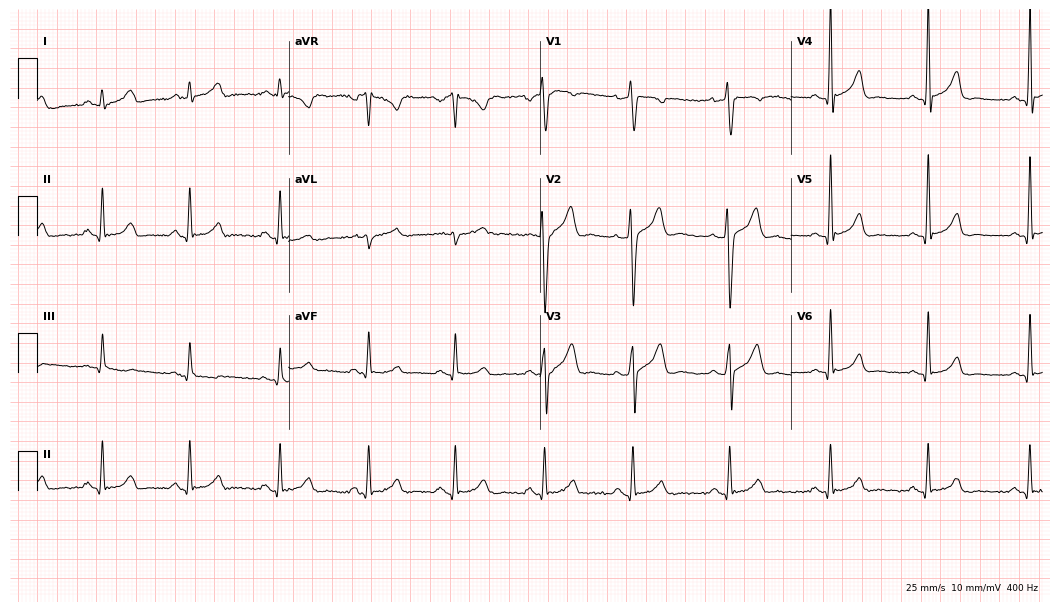
12-lead ECG (10.2-second recording at 400 Hz) from a 38-year-old male patient. Labelled as a normal ECG.